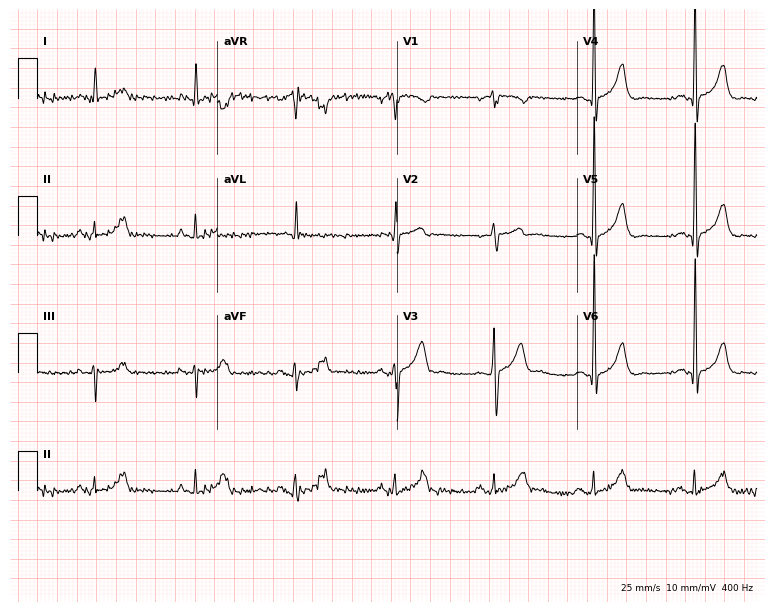
Standard 12-lead ECG recorded from an 81-year-old male (7.3-second recording at 400 Hz). None of these six findings is recorded: first-degree AV block, right bundle branch block (RBBB), left bundle branch block (LBBB), sinus bradycardia, atrial fibrillation (AF), sinus tachycardia. Findings outside these six are not listed.